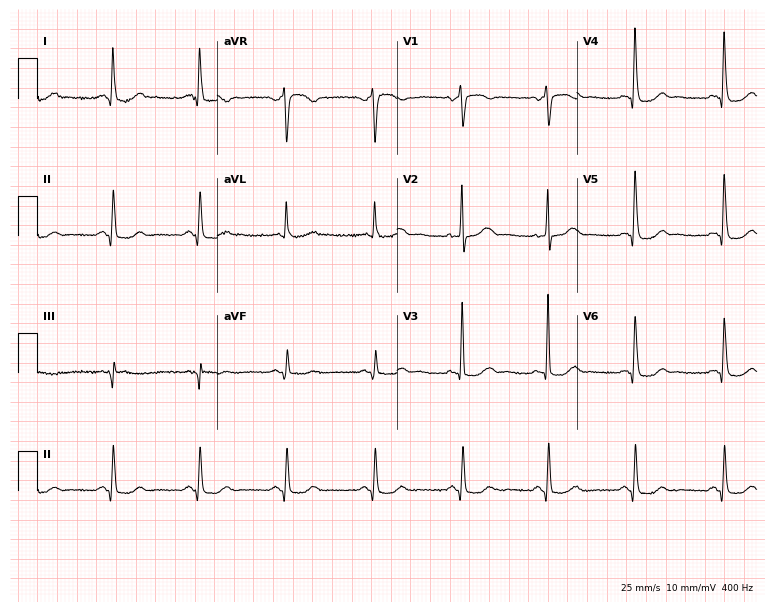
12-lead ECG (7.3-second recording at 400 Hz) from a female, 64 years old. Screened for six findings — first-degree AV block, right bundle branch block, left bundle branch block, sinus bradycardia, atrial fibrillation, sinus tachycardia — none is recorded.